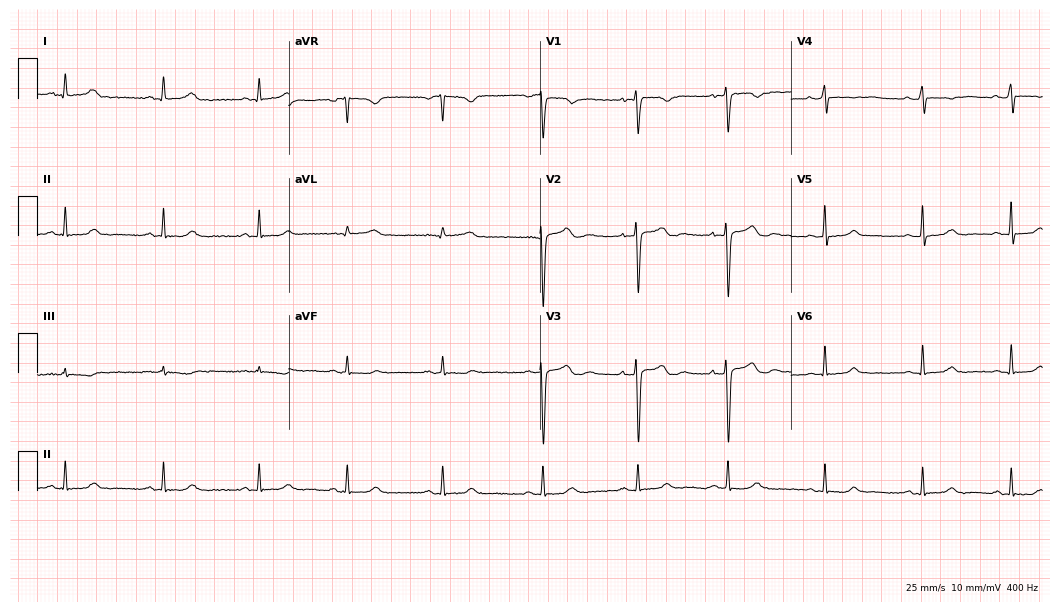
Standard 12-lead ECG recorded from a 34-year-old female (10.2-second recording at 400 Hz). None of these six findings is recorded: first-degree AV block, right bundle branch block, left bundle branch block, sinus bradycardia, atrial fibrillation, sinus tachycardia.